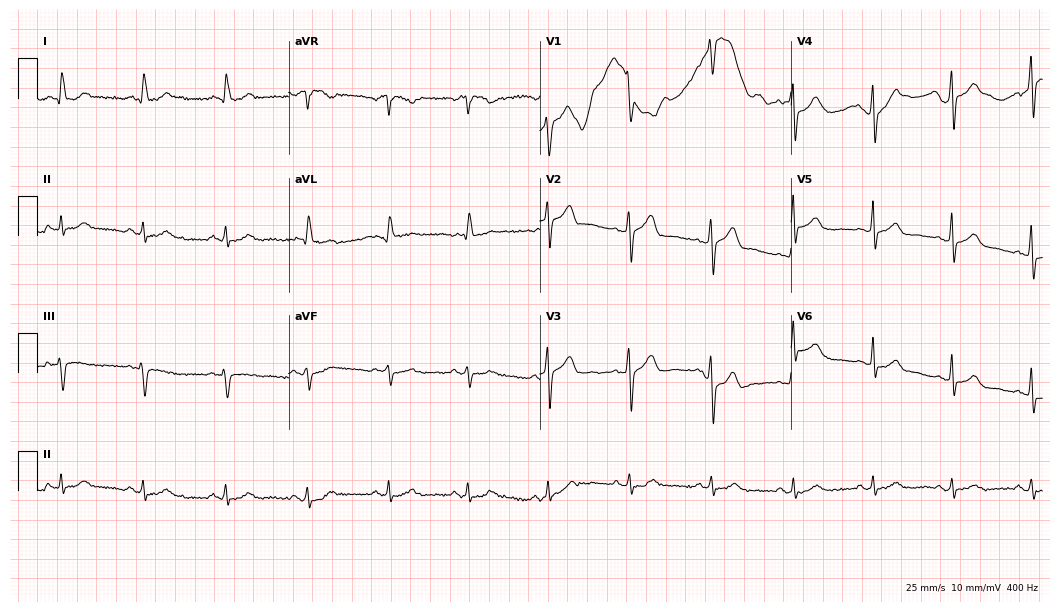
ECG — a male patient, 66 years old. Labelled as a normal ECG.